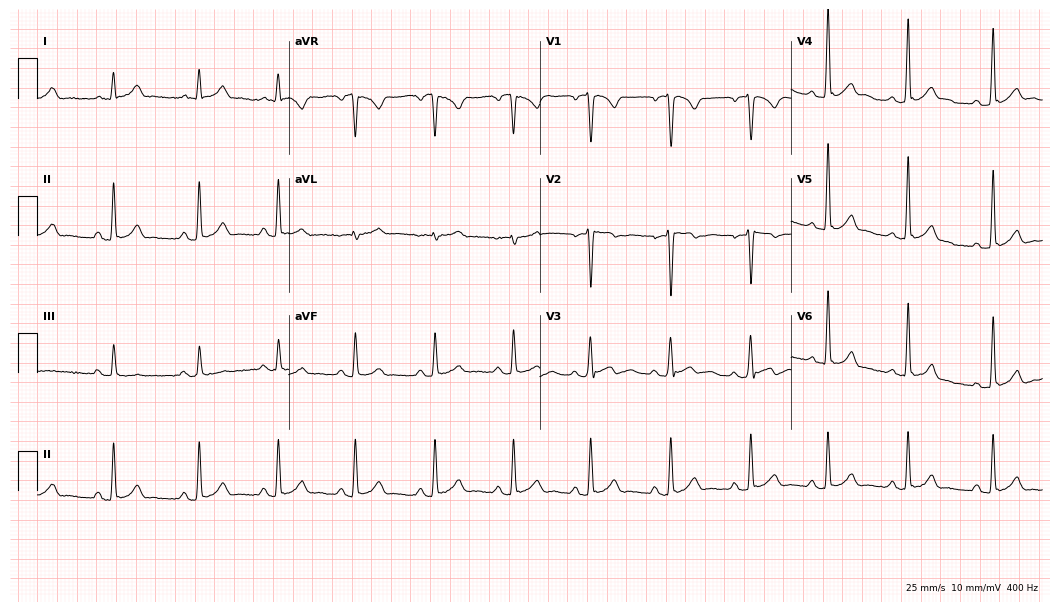
Electrocardiogram (10.2-second recording at 400 Hz), a 30-year-old male patient. Overall reading on record: normal ECG.